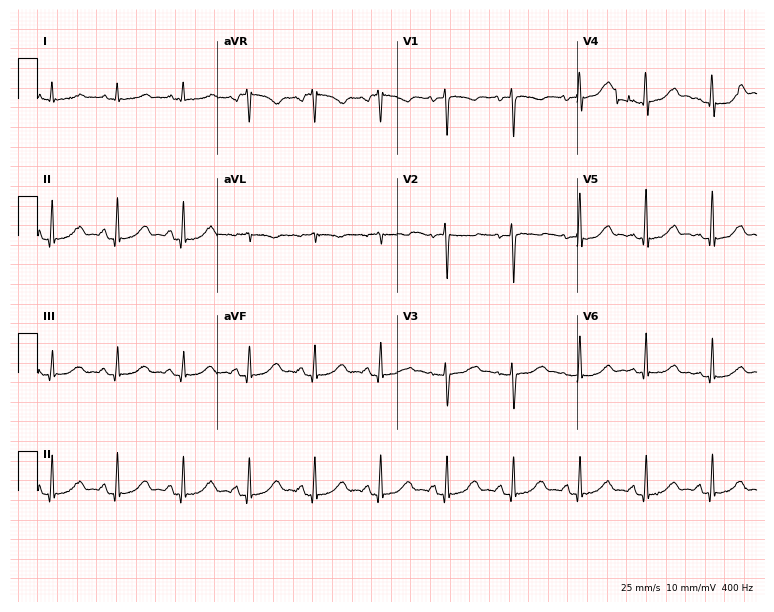
ECG (7.3-second recording at 400 Hz) — a female patient, 54 years old. Labelled as a normal ECG.